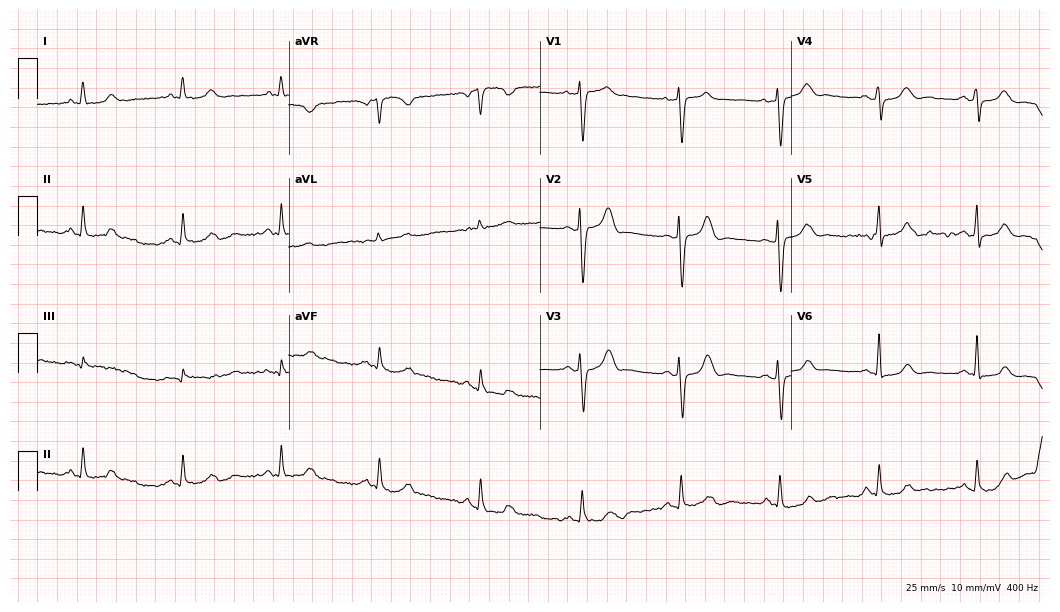
Standard 12-lead ECG recorded from a female patient, 68 years old. None of these six findings is recorded: first-degree AV block, right bundle branch block (RBBB), left bundle branch block (LBBB), sinus bradycardia, atrial fibrillation (AF), sinus tachycardia.